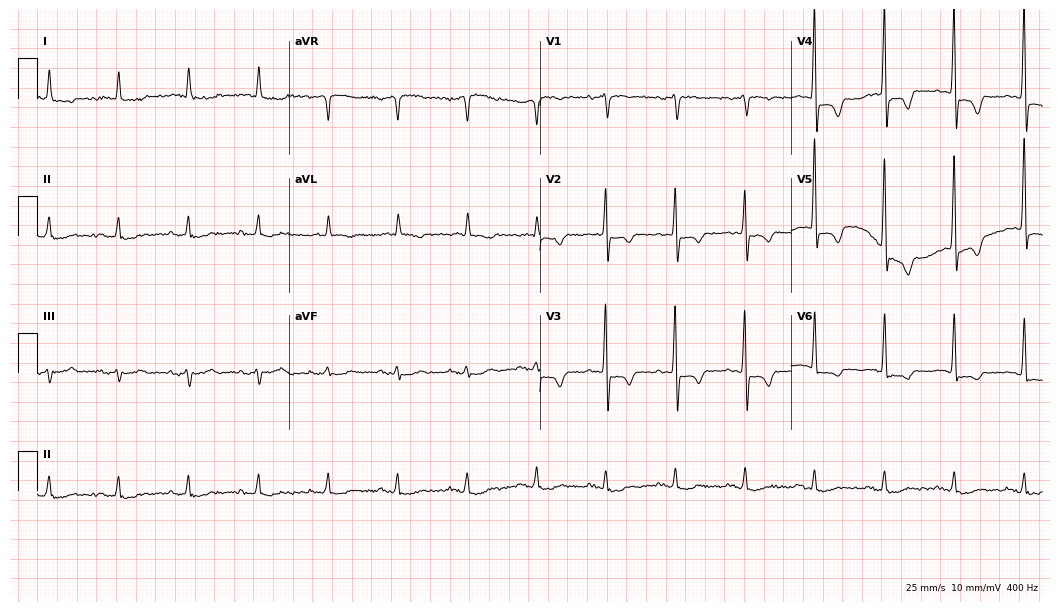
12-lead ECG from a man, 78 years old. Screened for six findings — first-degree AV block, right bundle branch block, left bundle branch block, sinus bradycardia, atrial fibrillation, sinus tachycardia — none is recorded. Findings outside these six are not listed.